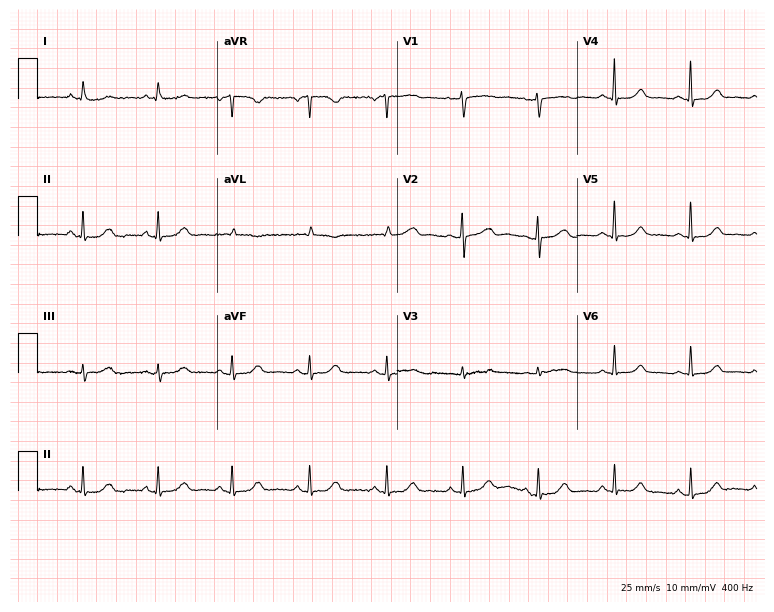
12-lead ECG from an 80-year-old female. No first-degree AV block, right bundle branch block, left bundle branch block, sinus bradycardia, atrial fibrillation or sinus tachycardia recorded for this tracing. Only these six findings were labelled.